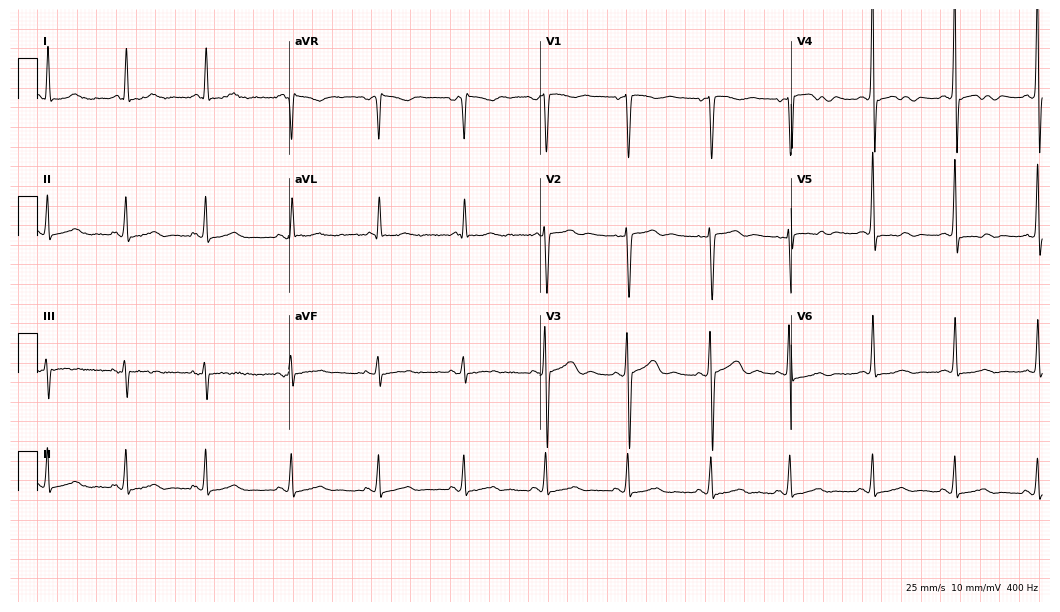
ECG (10.2-second recording at 400 Hz) — a female patient, 51 years old. Labelled as a normal ECG.